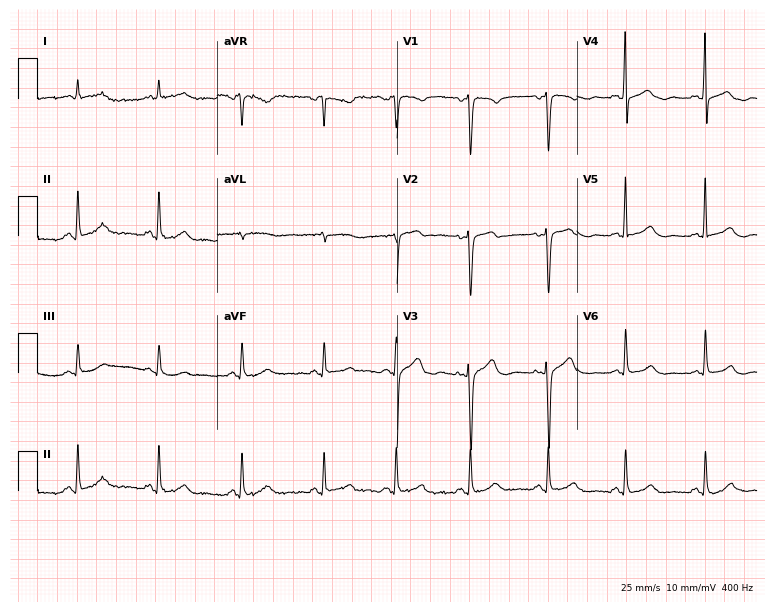
Resting 12-lead electrocardiogram (7.3-second recording at 400 Hz). Patient: a 42-year-old male. Read as a normal ECG.